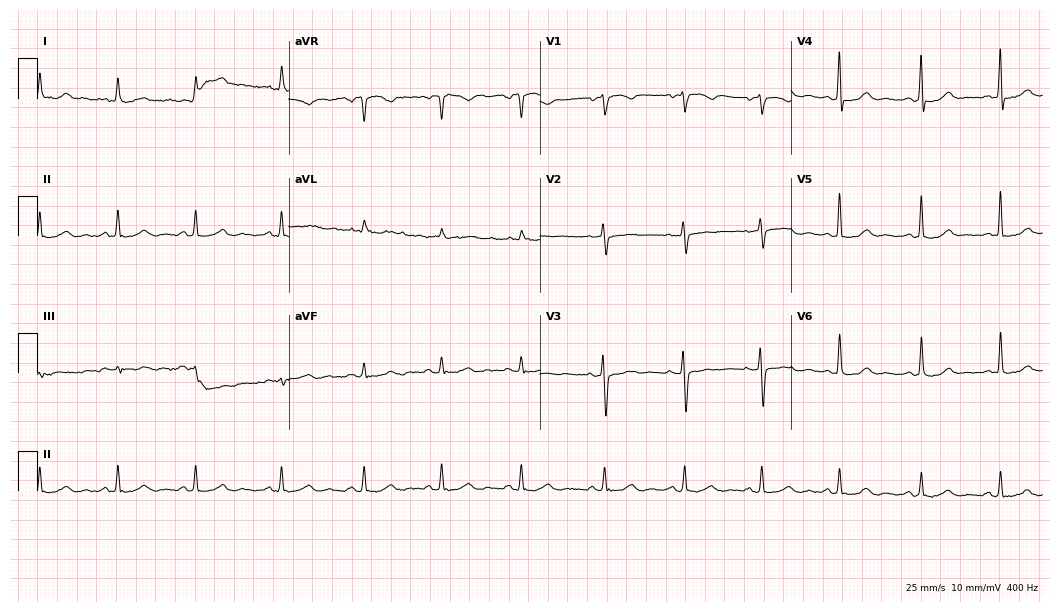
Resting 12-lead electrocardiogram (10.2-second recording at 400 Hz). Patient: a 60-year-old female. None of these six findings is recorded: first-degree AV block, right bundle branch block (RBBB), left bundle branch block (LBBB), sinus bradycardia, atrial fibrillation (AF), sinus tachycardia.